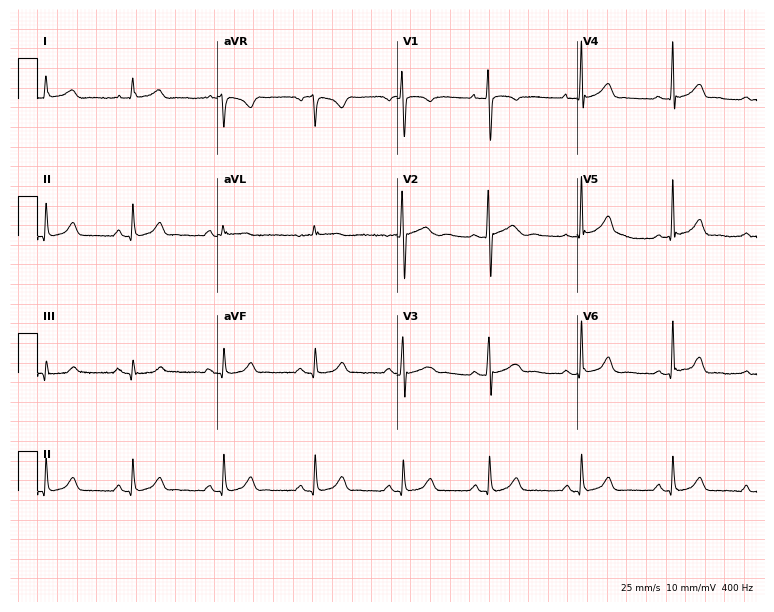
Standard 12-lead ECG recorded from a female, 24 years old (7.3-second recording at 400 Hz). Read as a normal ECG.